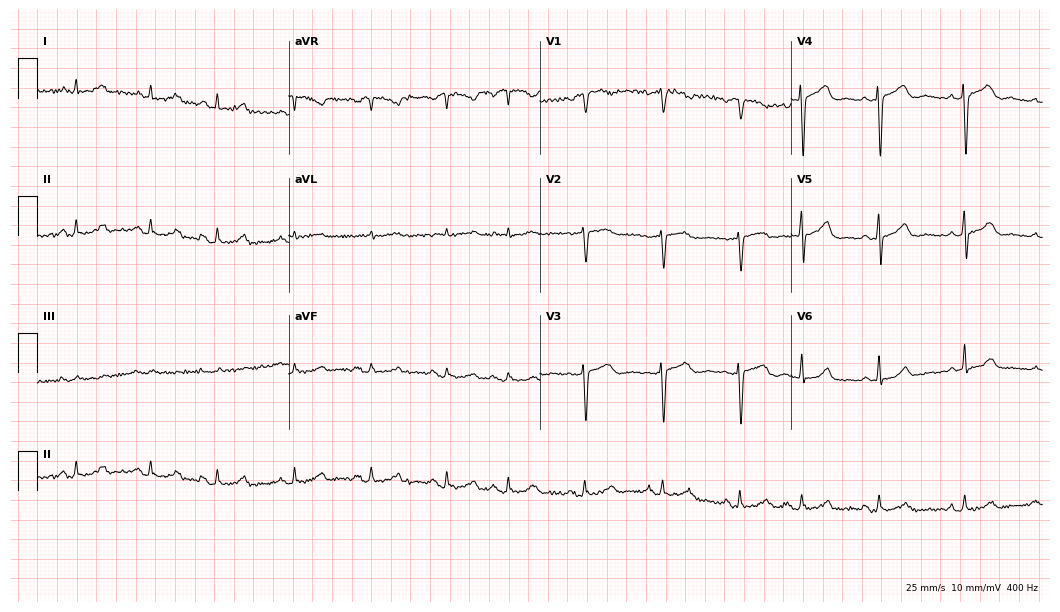
Standard 12-lead ECG recorded from a female patient, 75 years old (10.2-second recording at 400 Hz). None of these six findings is recorded: first-degree AV block, right bundle branch block, left bundle branch block, sinus bradycardia, atrial fibrillation, sinus tachycardia.